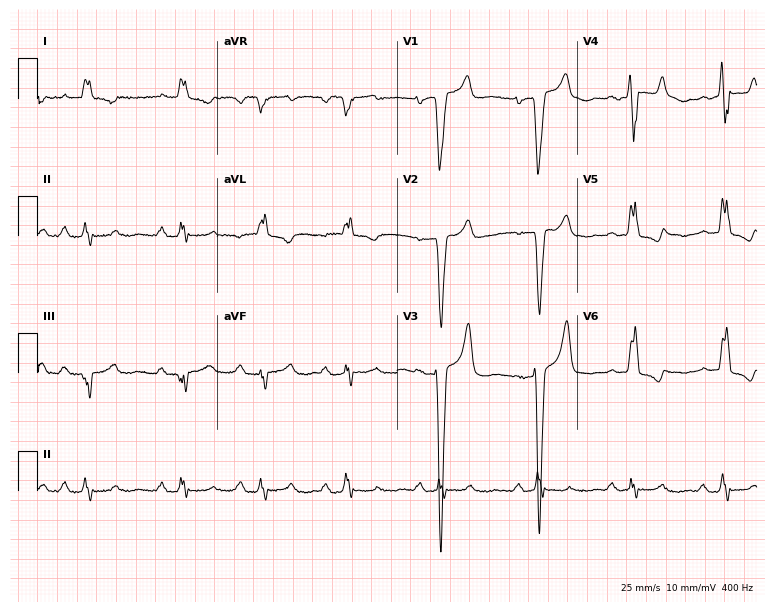
Standard 12-lead ECG recorded from a 70-year-old woman (7.3-second recording at 400 Hz). The tracing shows first-degree AV block, left bundle branch block.